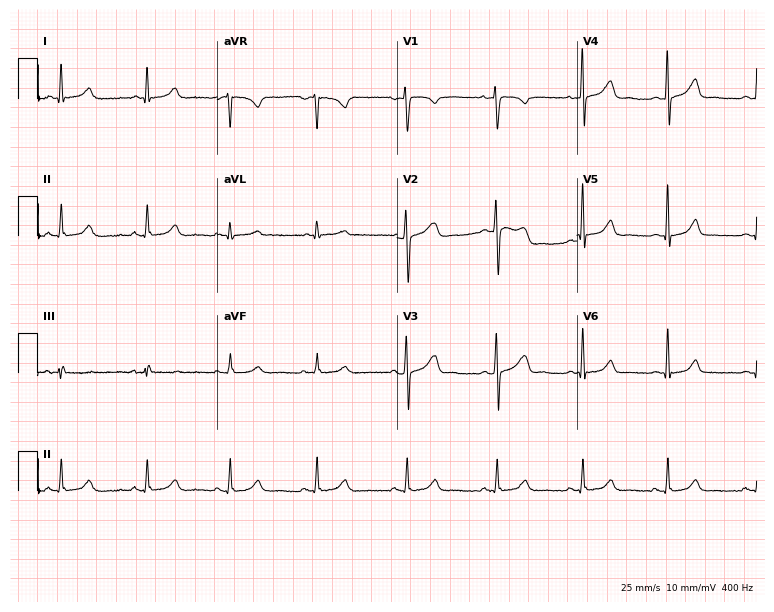
Resting 12-lead electrocardiogram (7.3-second recording at 400 Hz). Patient: a woman, 36 years old. Read as a normal ECG.